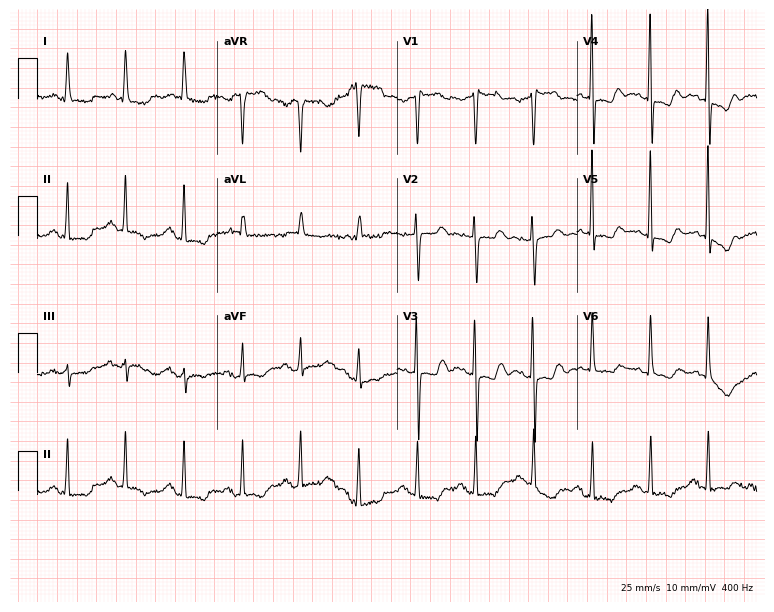
ECG — a female patient, 80 years old. Findings include sinus tachycardia (a sinus rate of 100 beats per minute or more).